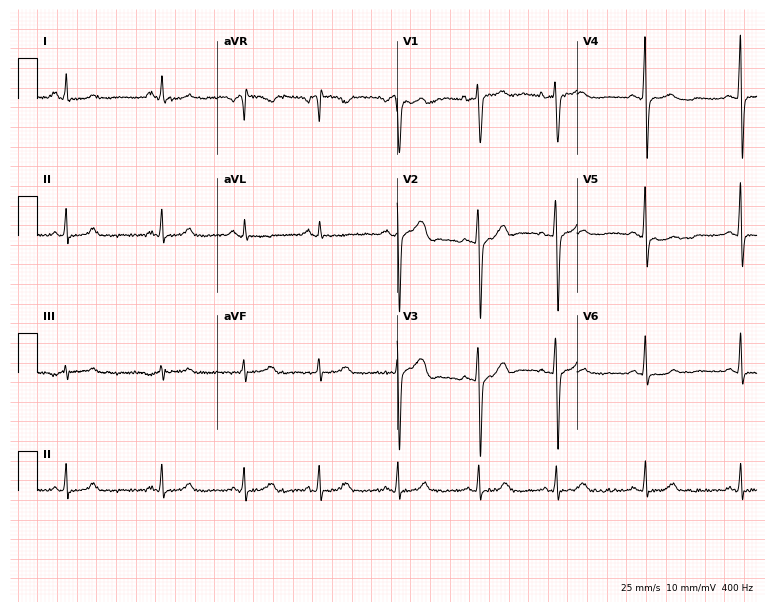
12-lead ECG from a 31-year-old woman. Screened for six findings — first-degree AV block, right bundle branch block, left bundle branch block, sinus bradycardia, atrial fibrillation, sinus tachycardia — none is recorded.